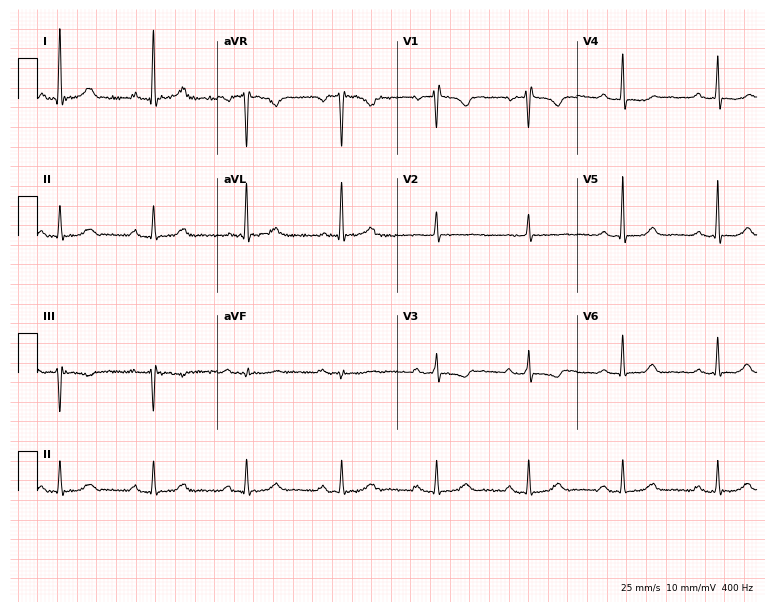
12-lead ECG from a 72-year-old female. No first-degree AV block, right bundle branch block, left bundle branch block, sinus bradycardia, atrial fibrillation or sinus tachycardia recorded for this tracing. Other findings, if any, are not listed.